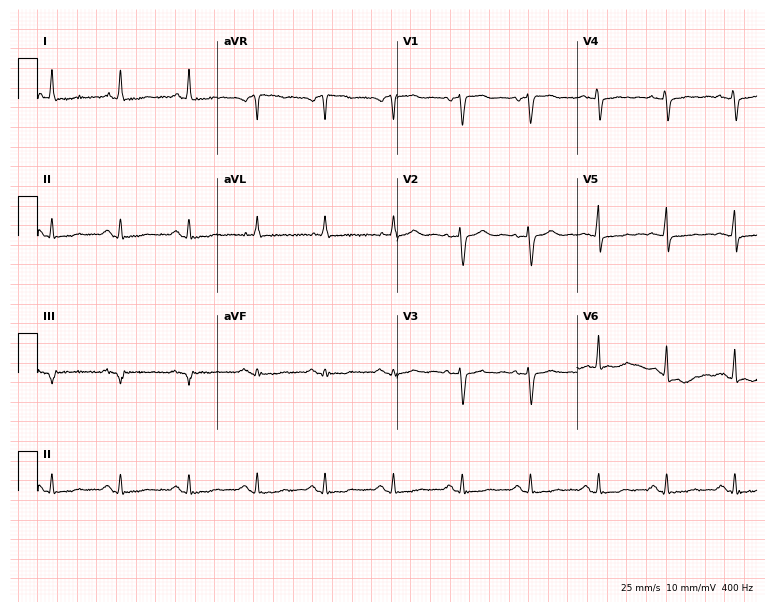
12-lead ECG from a 62-year-old female patient (7.3-second recording at 400 Hz). No first-degree AV block, right bundle branch block (RBBB), left bundle branch block (LBBB), sinus bradycardia, atrial fibrillation (AF) or sinus tachycardia recorded for this tracing.